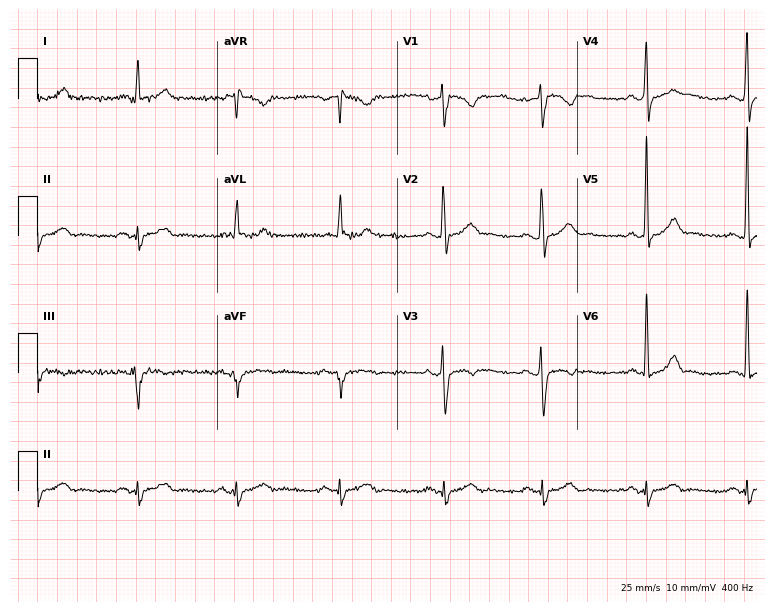
Standard 12-lead ECG recorded from a male, 42 years old (7.3-second recording at 400 Hz). None of these six findings is recorded: first-degree AV block, right bundle branch block, left bundle branch block, sinus bradycardia, atrial fibrillation, sinus tachycardia.